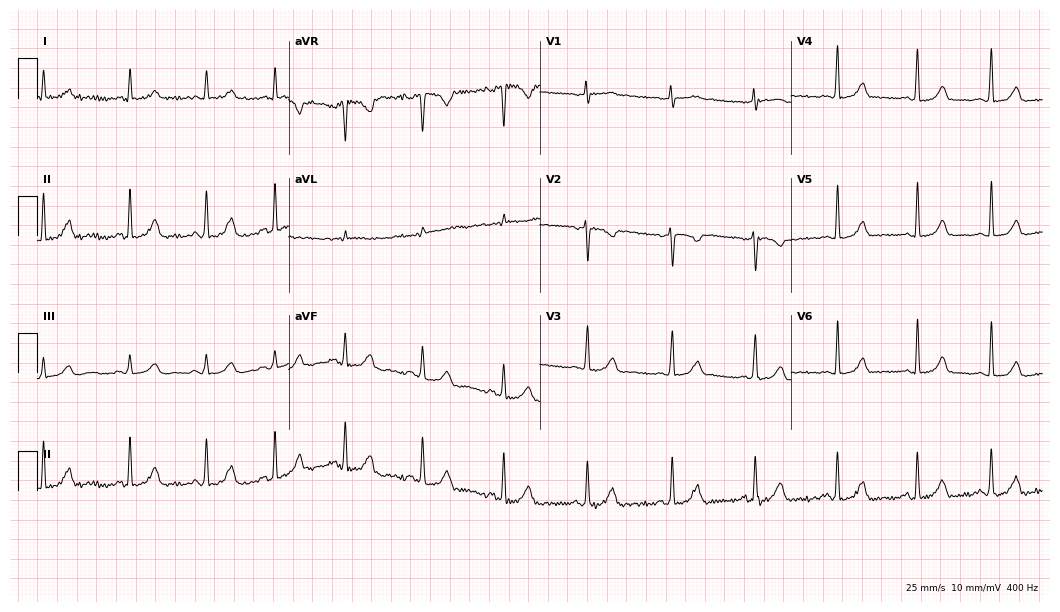
ECG (10.2-second recording at 400 Hz) — a 29-year-old female patient. Screened for six findings — first-degree AV block, right bundle branch block, left bundle branch block, sinus bradycardia, atrial fibrillation, sinus tachycardia — none is recorded.